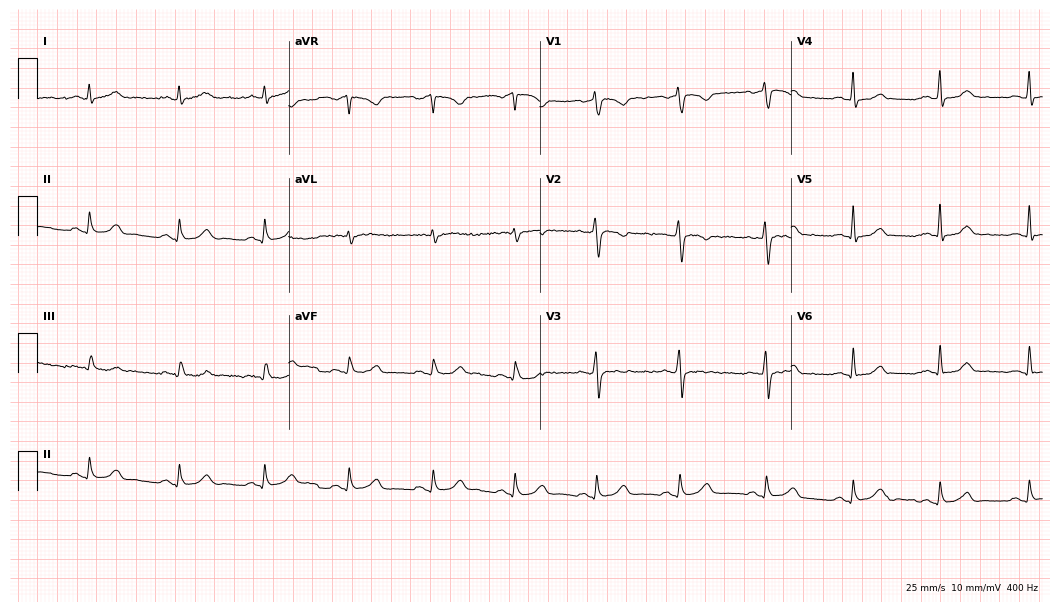
12-lead ECG from a 35-year-old woman. Labelled as a normal ECG.